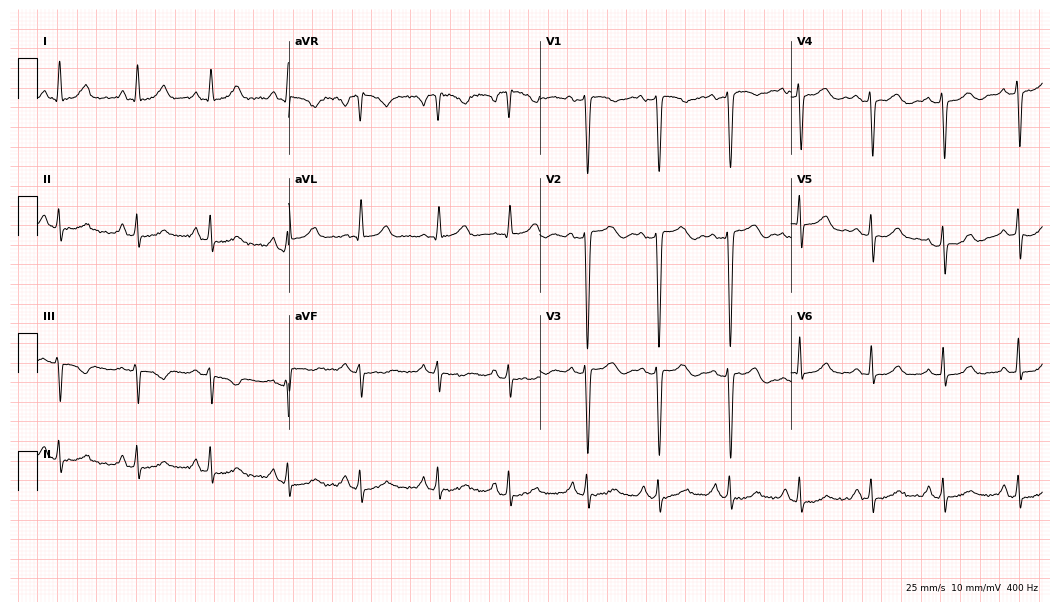
12-lead ECG from a 37-year-old female. Screened for six findings — first-degree AV block, right bundle branch block, left bundle branch block, sinus bradycardia, atrial fibrillation, sinus tachycardia — none is recorded.